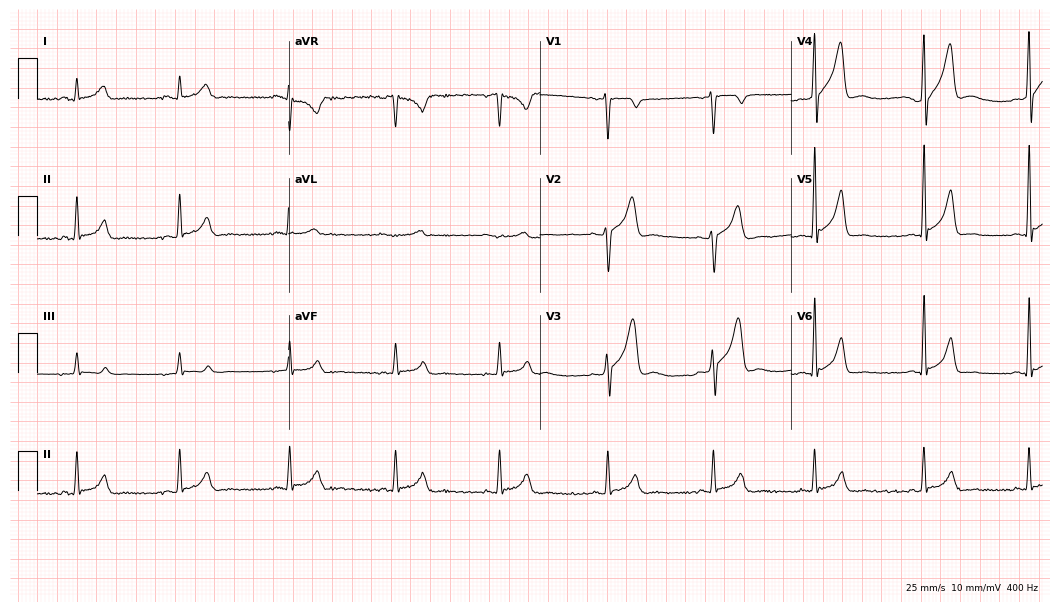
Resting 12-lead electrocardiogram (10.2-second recording at 400 Hz). Patient: a male, 35 years old. None of these six findings is recorded: first-degree AV block, right bundle branch block, left bundle branch block, sinus bradycardia, atrial fibrillation, sinus tachycardia. Only these six findings were labelled.